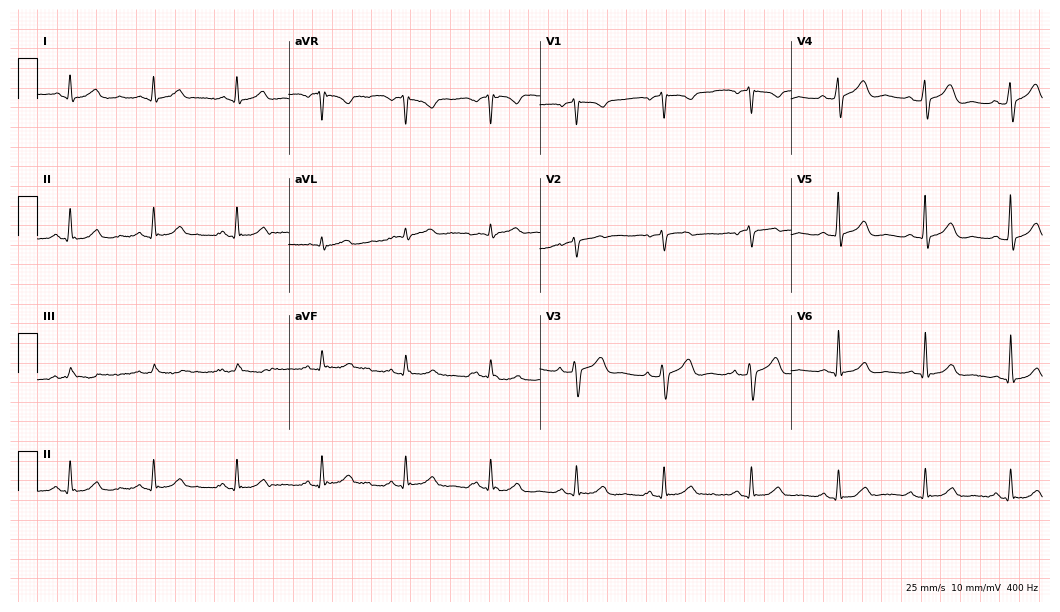
ECG — a male patient, 65 years old. Screened for six findings — first-degree AV block, right bundle branch block (RBBB), left bundle branch block (LBBB), sinus bradycardia, atrial fibrillation (AF), sinus tachycardia — none is recorded.